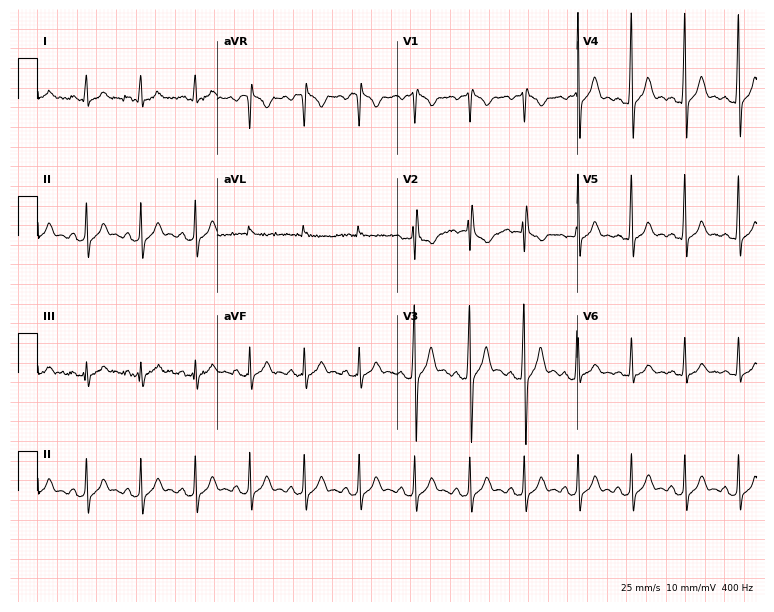
12-lead ECG (7.3-second recording at 400 Hz) from a 39-year-old male. Findings include sinus tachycardia (a sinus rate of 100 beats per minute or more).